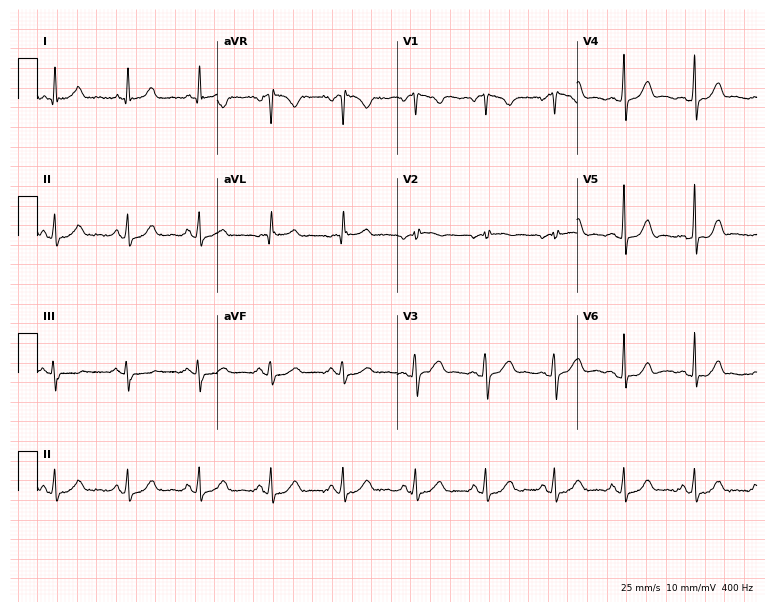
12-lead ECG from a 29-year-old female patient. No first-degree AV block, right bundle branch block, left bundle branch block, sinus bradycardia, atrial fibrillation or sinus tachycardia recorded for this tracing. Findings outside these six are not listed.